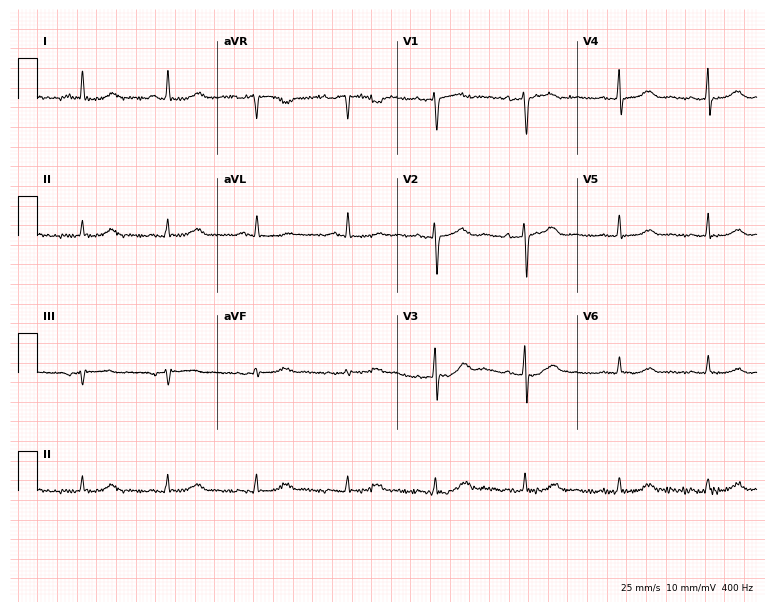
Resting 12-lead electrocardiogram. Patient: a 64-year-old female. Read as a normal ECG.